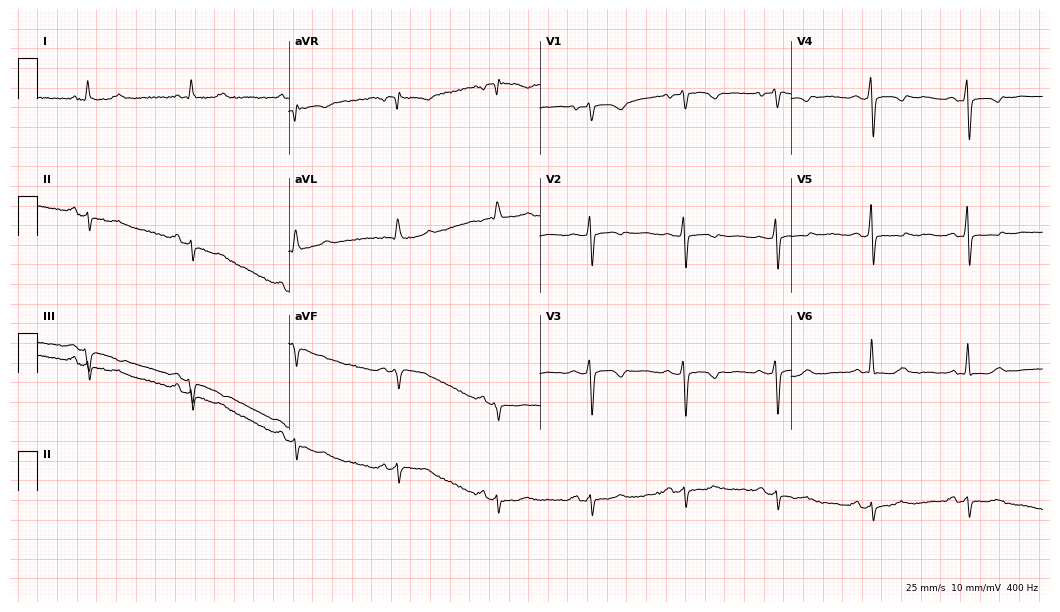
12-lead ECG (10.2-second recording at 400 Hz) from a 79-year-old woman. Screened for six findings — first-degree AV block, right bundle branch block, left bundle branch block, sinus bradycardia, atrial fibrillation, sinus tachycardia — none is recorded. Only these six findings were labelled.